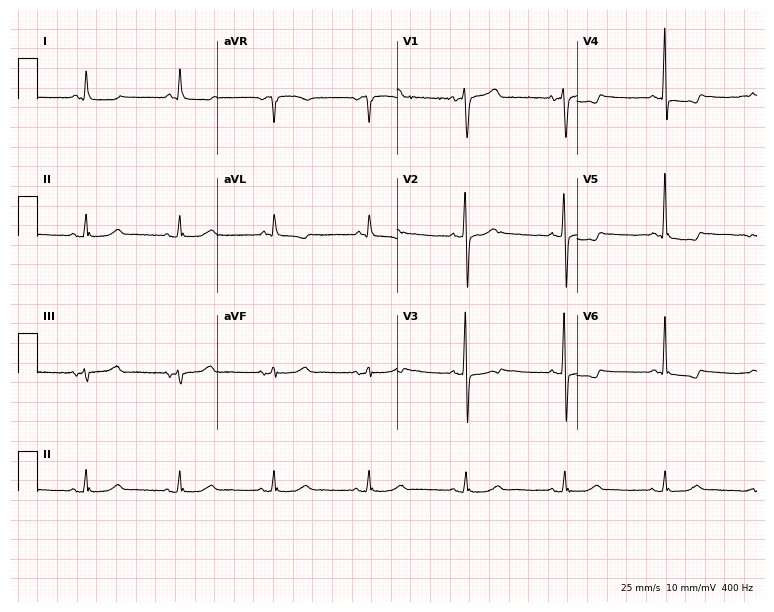
Standard 12-lead ECG recorded from a man, 71 years old. None of these six findings is recorded: first-degree AV block, right bundle branch block (RBBB), left bundle branch block (LBBB), sinus bradycardia, atrial fibrillation (AF), sinus tachycardia.